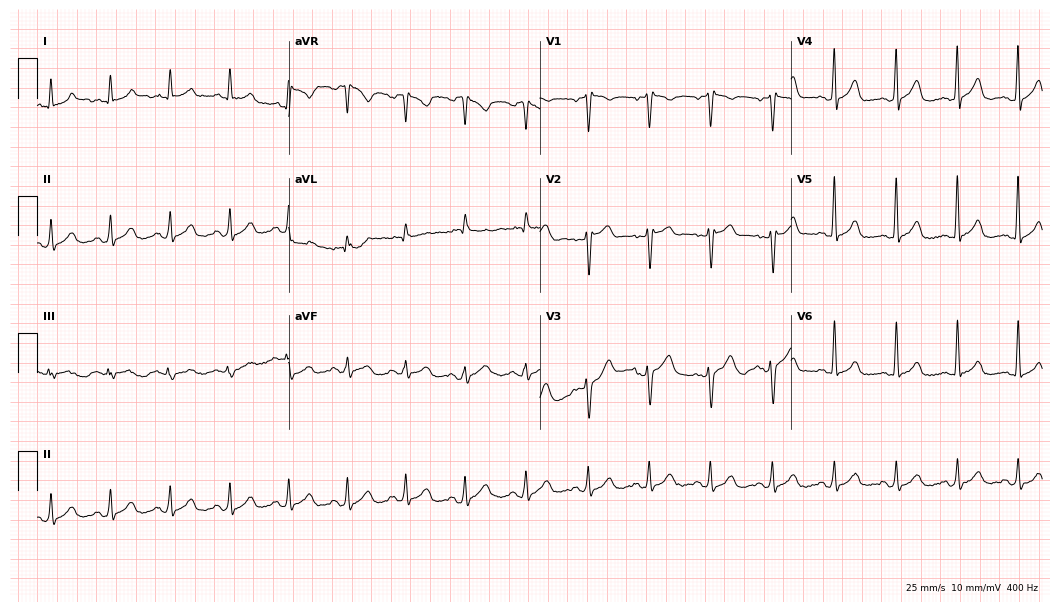
ECG — a male, 49 years old. Labelled as a normal ECG.